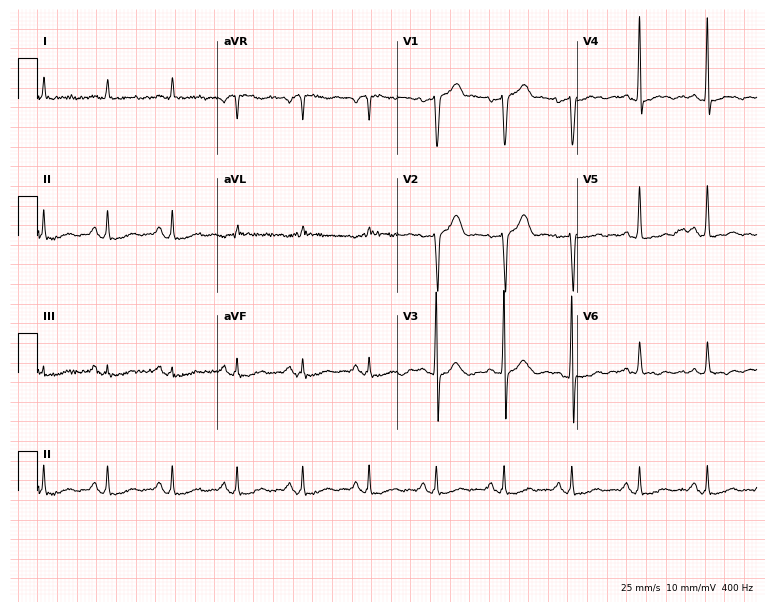
12-lead ECG from a man, 56 years old (7.3-second recording at 400 Hz). No first-degree AV block, right bundle branch block (RBBB), left bundle branch block (LBBB), sinus bradycardia, atrial fibrillation (AF) or sinus tachycardia recorded for this tracing. Findings outside these six are not listed.